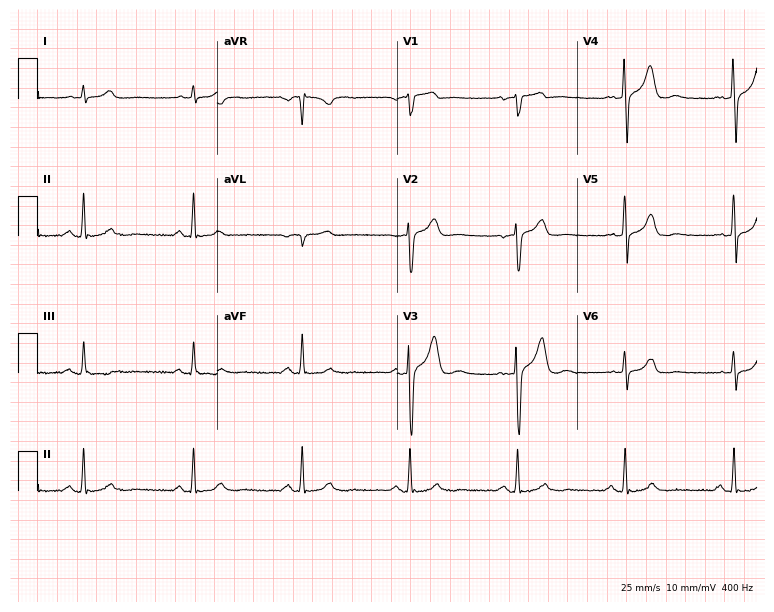
Resting 12-lead electrocardiogram (7.3-second recording at 400 Hz). Patient: a 43-year-old male. Read as a normal ECG.